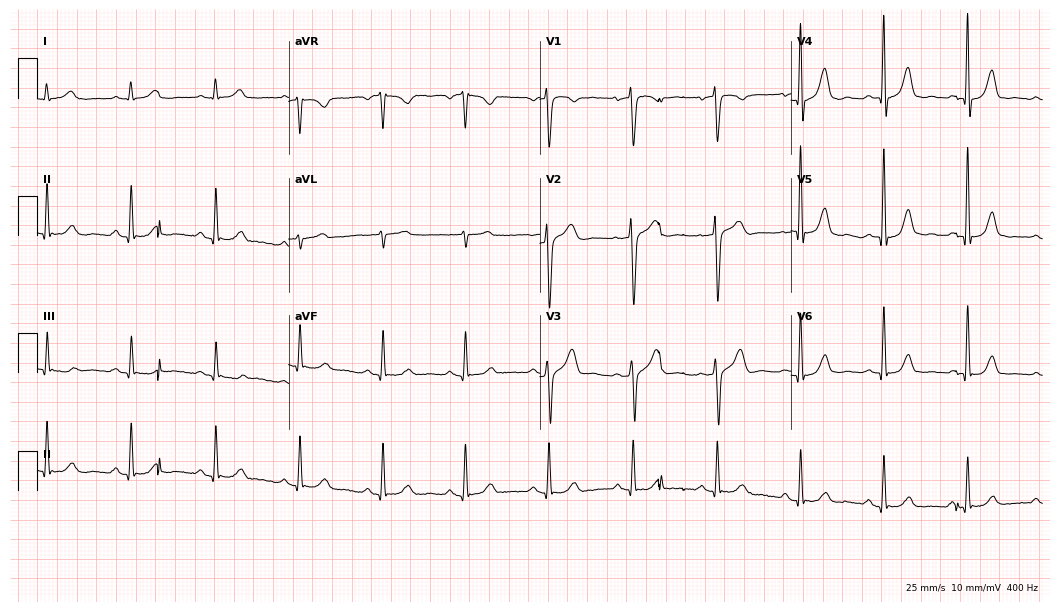
12-lead ECG (10.2-second recording at 400 Hz) from a male patient, 65 years old. Labelled as a normal ECG.